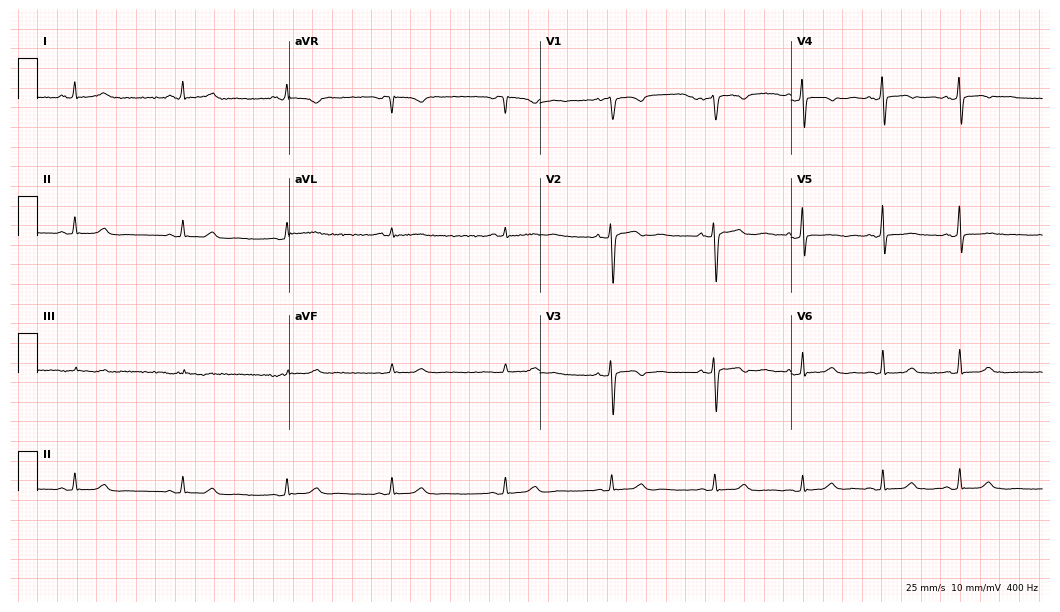
12-lead ECG (10.2-second recording at 400 Hz) from a female, 28 years old. Screened for six findings — first-degree AV block, right bundle branch block, left bundle branch block, sinus bradycardia, atrial fibrillation, sinus tachycardia — none is recorded.